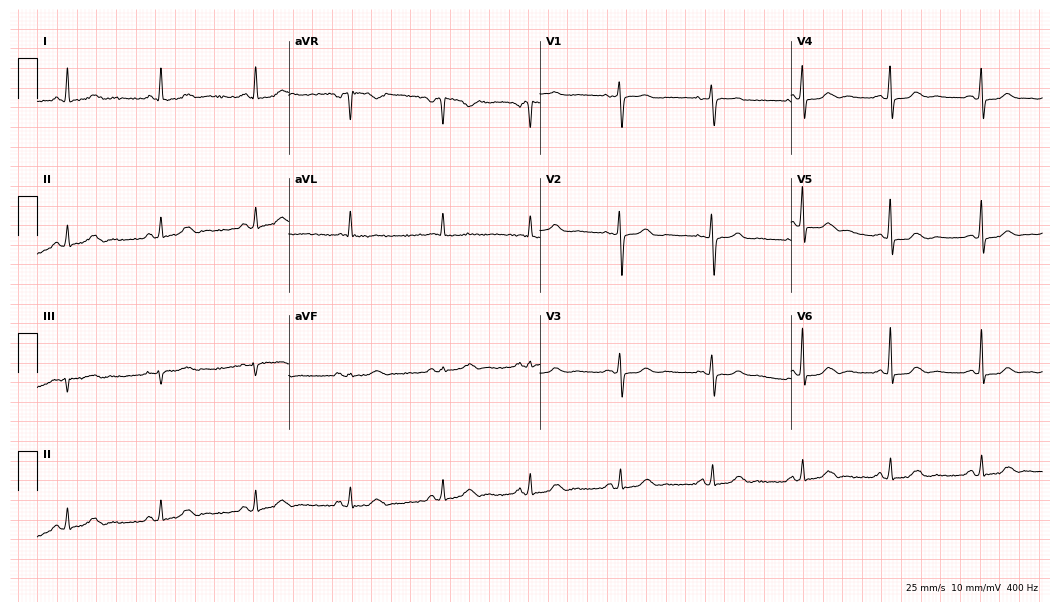
ECG — a female patient, 63 years old. Labelled as a normal ECG.